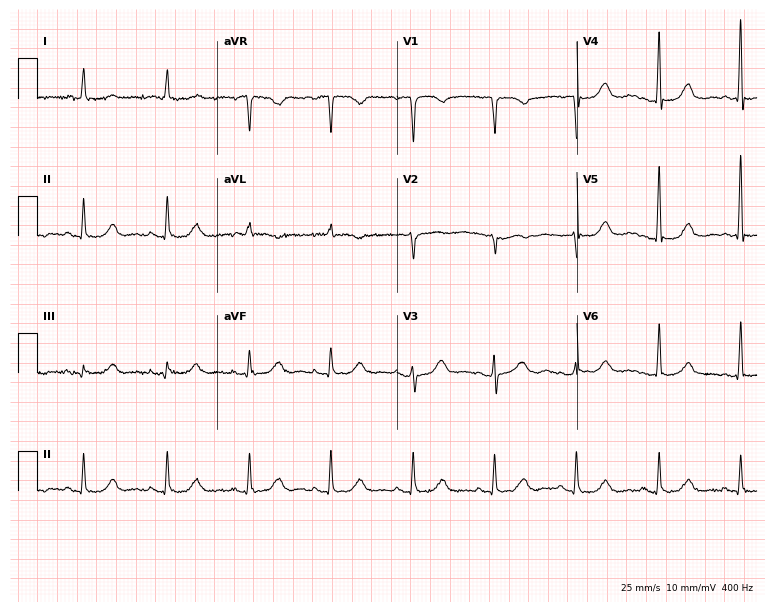
12-lead ECG from an 83-year-old female (7.3-second recording at 400 Hz). Recorded interpretation: within normal limits.